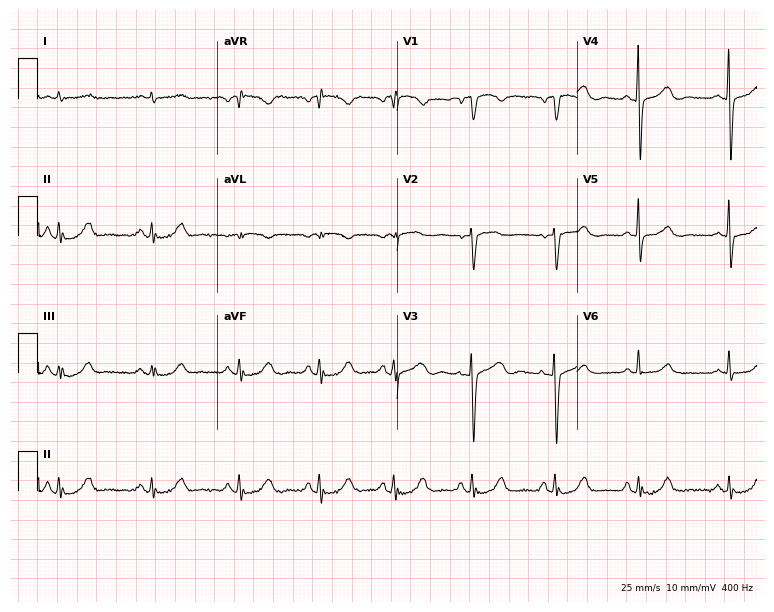
Standard 12-lead ECG recorded from a male, 69 years old (7.3-second recording at 400 Hz). None of these six findings is recorded: first-degree AV block, right bundle branch block, left bundle branch block, sinus bradycardia, atrial fibrillation, sinus tachycardia.